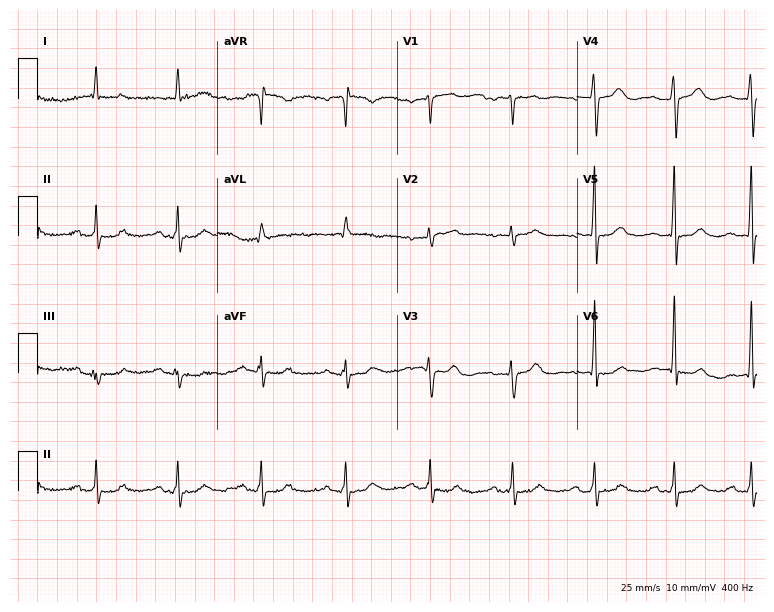
12-lead ECG from a male, 63 years old. Screened for six findings — first-degree AV block, right bundle branch block, left bundle branch block, sinus bradycardia, atrial fibrillation, sinus tachycardia — none is recorded.